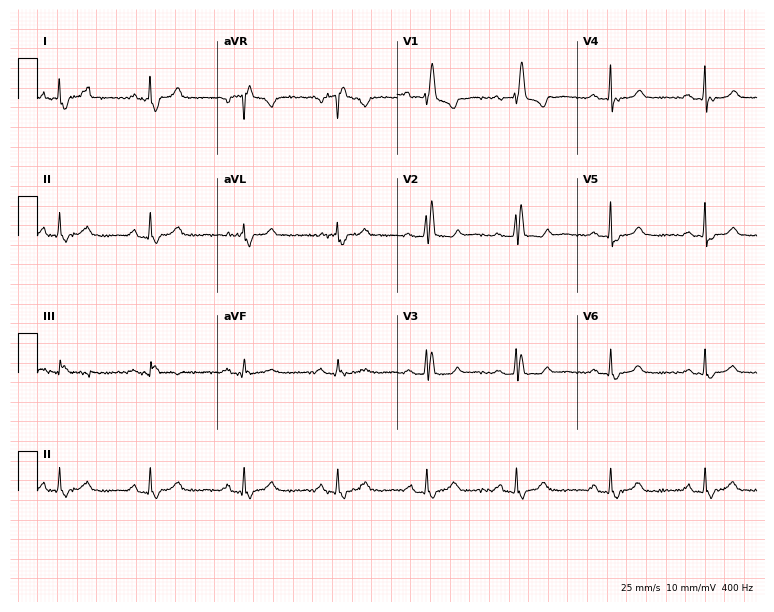
Standard 12-lead ECG recorded from a 64-year-old female. None of these six findings is recorded: first-degree AV block, right bundle branch block (RBBB), left bundle branch block (LBBB), sinus bradycardia, atrial fibrillation (AF), sinus tachycardia.